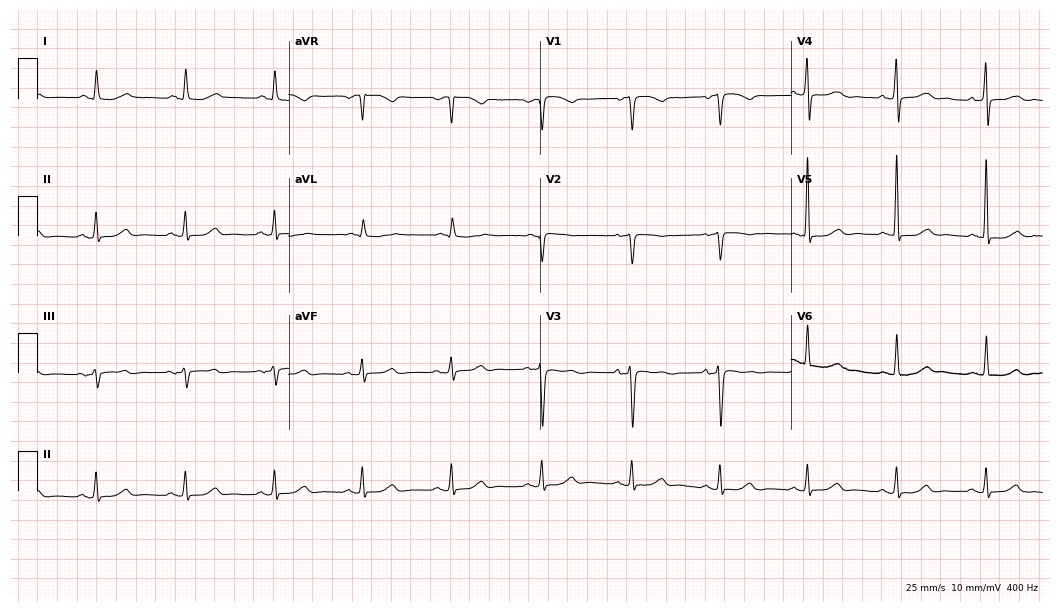
ECG — a 56-year-old woman. Labelled as a normal ECG.